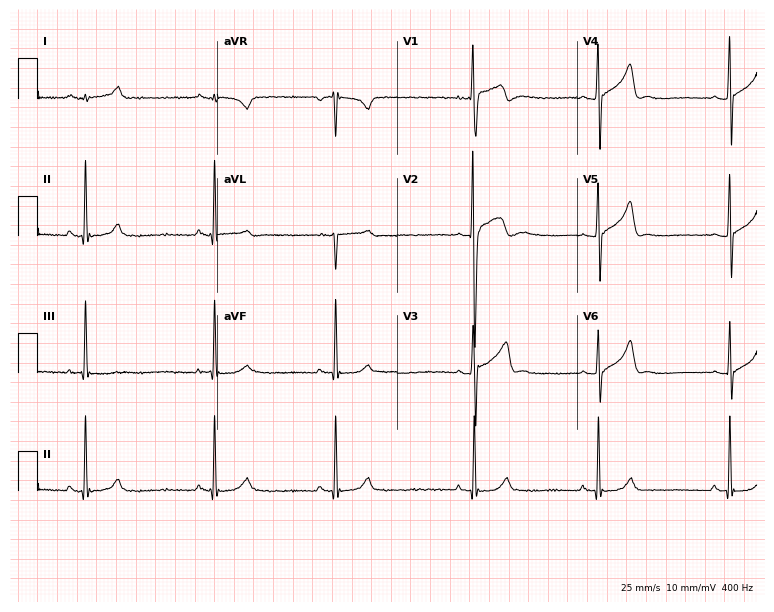
Resting 12-lead electrocardiogram. Patient: a 23-year-old male. None of these six findings is recorded: first-degree AV block, right bundle branch block, left bundle branch block, sinus bradycardia, atrial fibrillation, sinus tachycardia.